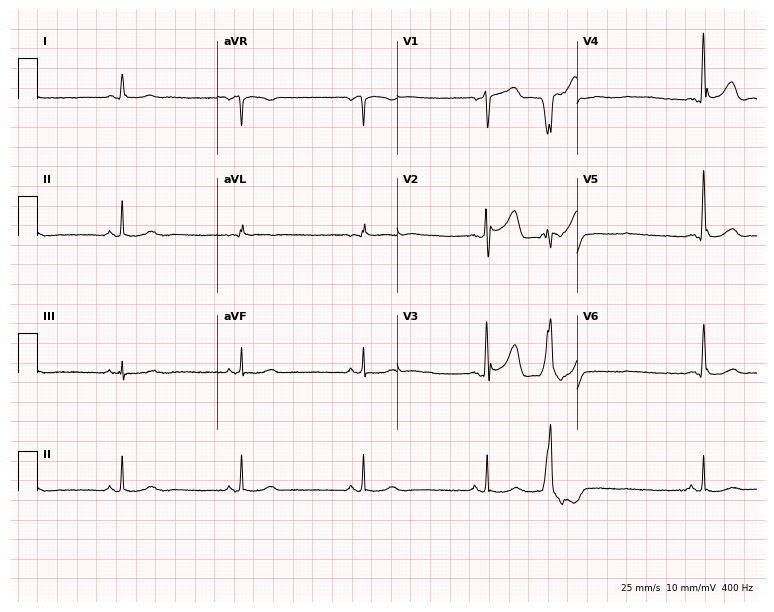
12-lead ECG (7.3-second recording at 400 Hz) from a 63-year-old male. Findings include sinus bradycardia (a sinus rate of 50 beats per minute or less).